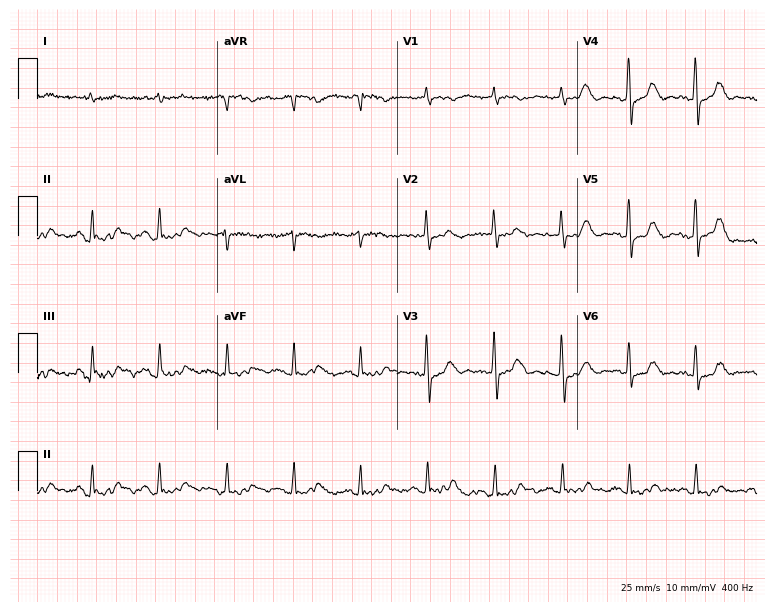
Resting 12-lead electrocardiogram. Patient: a man, 76 years old. Read as a normal ECG.